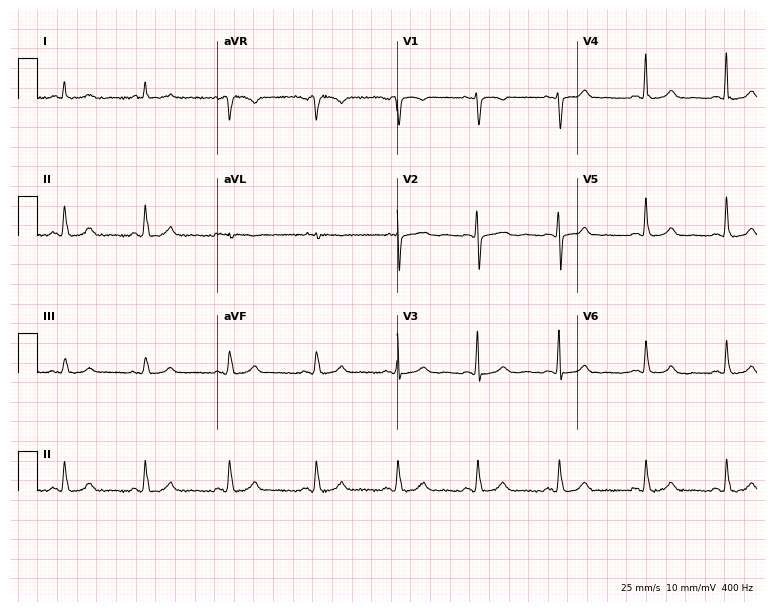
12-lead ECG from a 60-year-old female. Recorded interpretation: within normal limits.